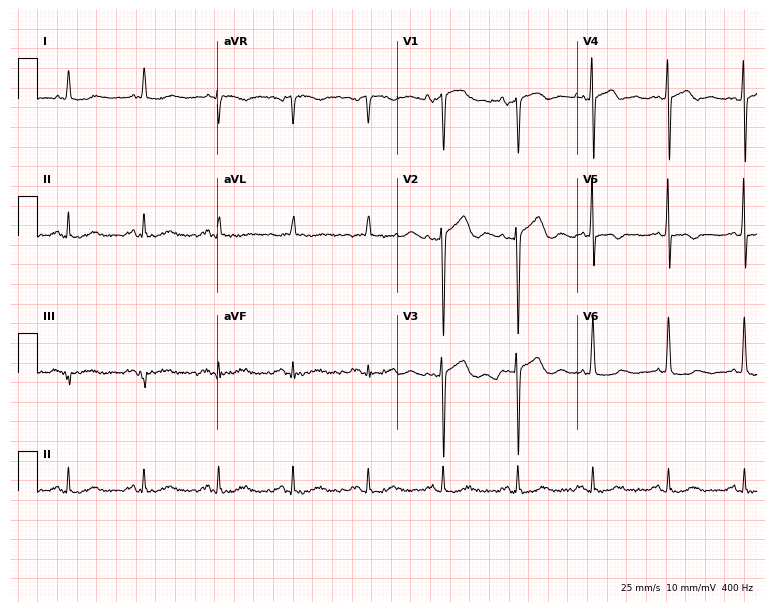
12-lead ECG (7.3-second recording at 400 Hz) from a male patient, 64 years old. Screened for six findings — first-degree AV block, right bundle branch block, left bundle branch block, sinus bradycardia, atrial fibrillation, sinus tachycardia — none is recorded. Findings outside these six are not listed.